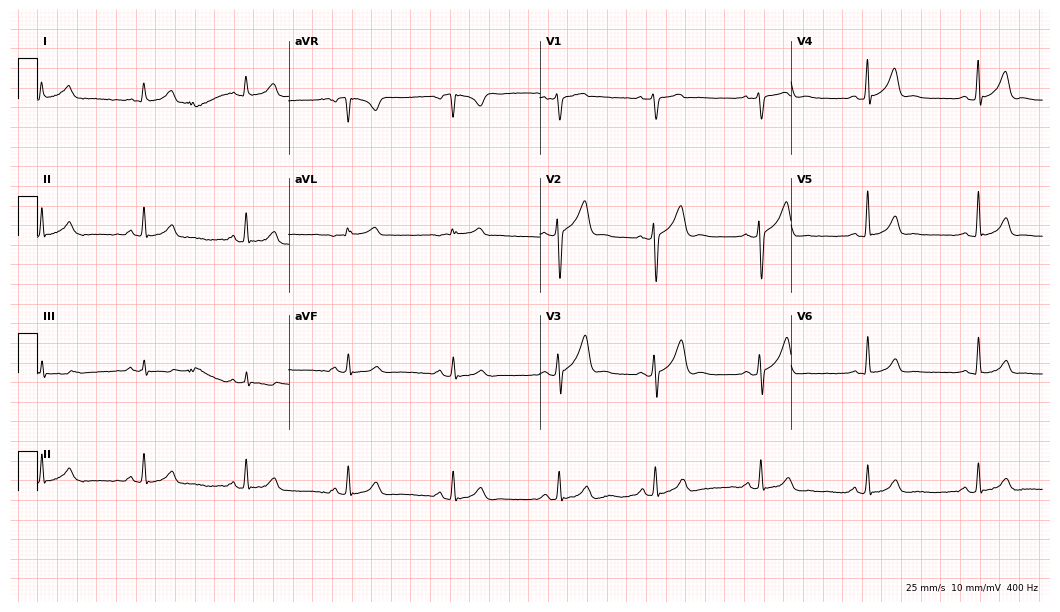
Resting 12-lead electrocardiogram (10.2-second recording at 400 Hz). Patient: a male, 38 years old. Read as a normal ECG.